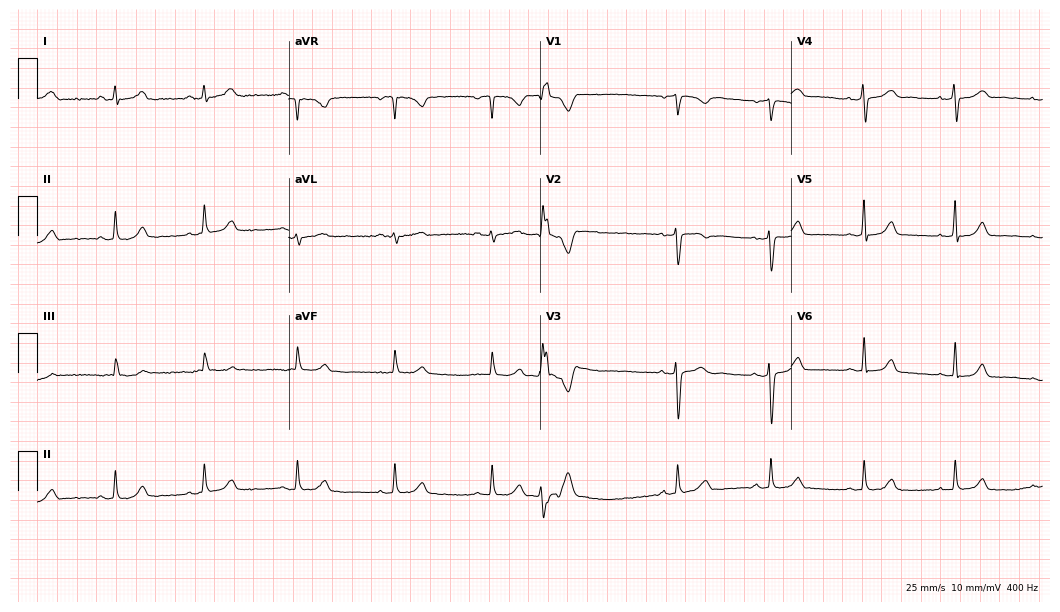
Standard 12-lead ECG recorded from a 34-year-old female patient. None of these six findings is recorded: first-degree AV block, right bundle branch block, left bundle branch block, sinus bradycardia, atrial fibrillation, sinus tachycardia. Other findings, if any, are not listed.